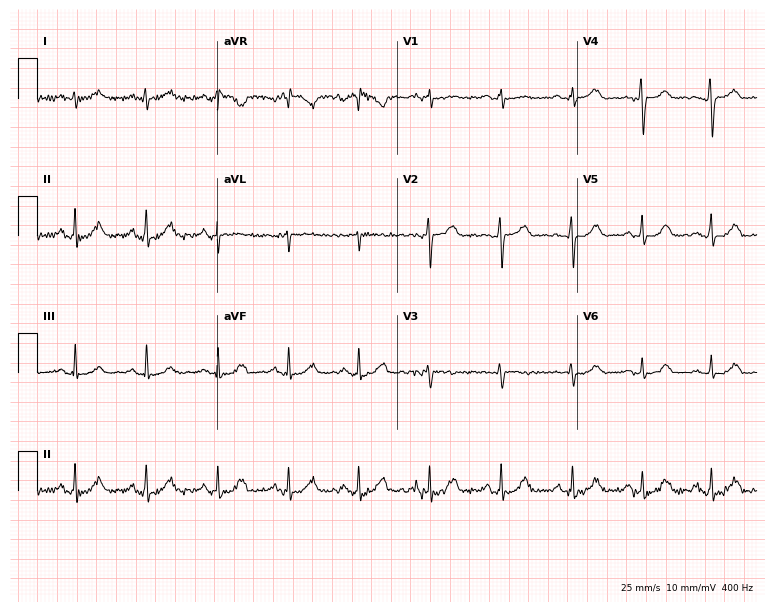
12-lead ECG (7.3-second recording at 400 Hz) from a woman, 51 years old. Labelled as a normal ECG.